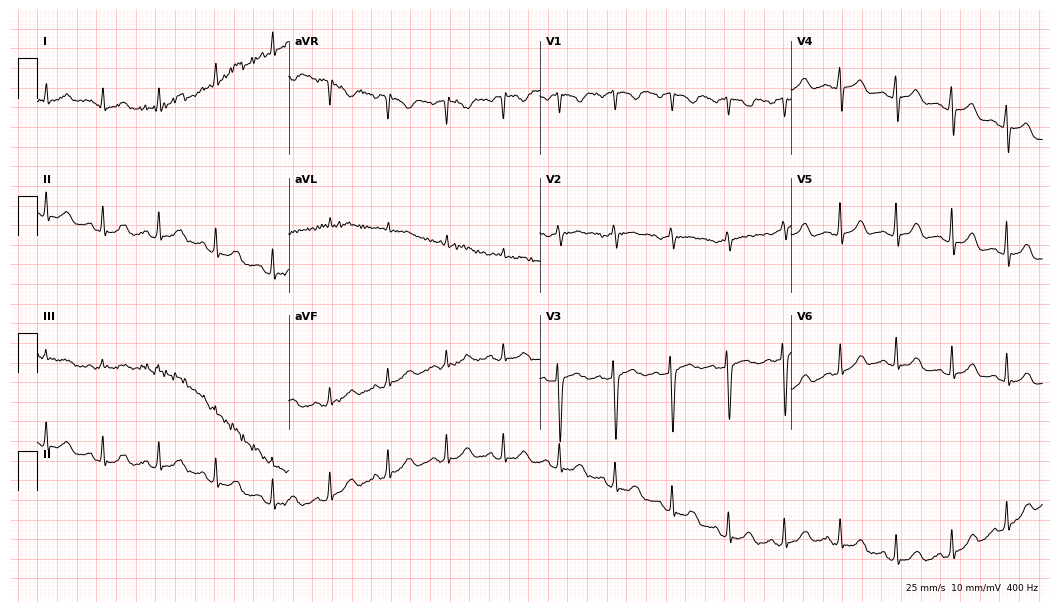
Resting 12-lead electrocardiogram. Patient: a 26-year-old female. The tracing shows sinus tachycardia (a sinus rate of 100 beats per minute or more).